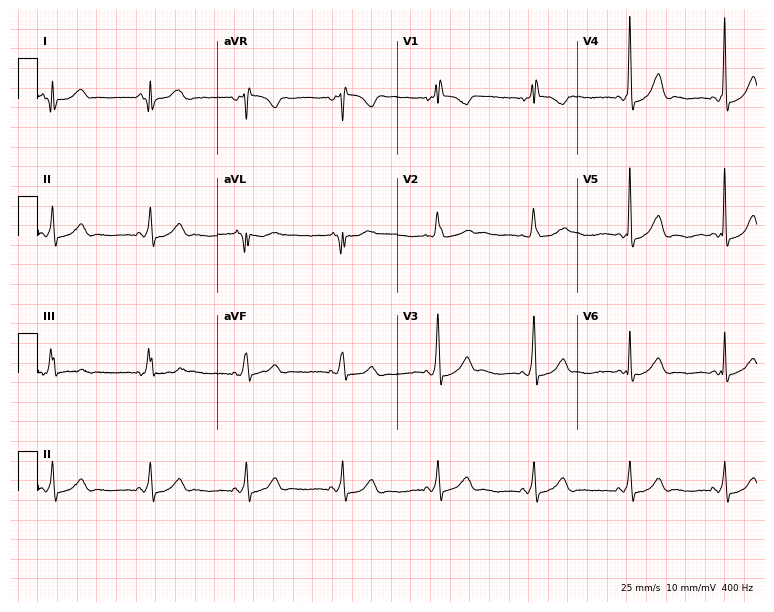
ECG — a 60-year-old female patient. Screened for six findings — first-degree AV block, right bundle branch block, left bundle branch block, sinus bradycardia, atrial fibrillation, sinus tachycardia — none is recorded. Other findings, if any, are not listed.